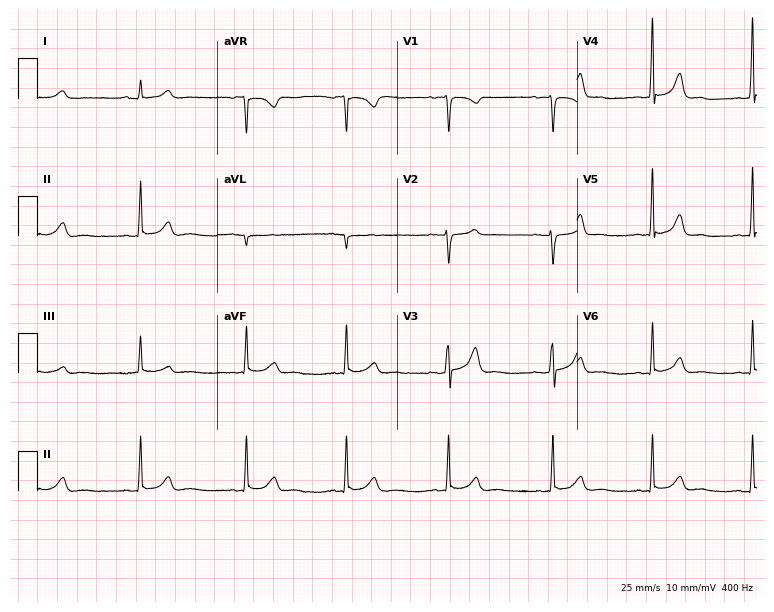
Electrocardiogram, a 36-year-old female. Overall reading on record: normal ECG.